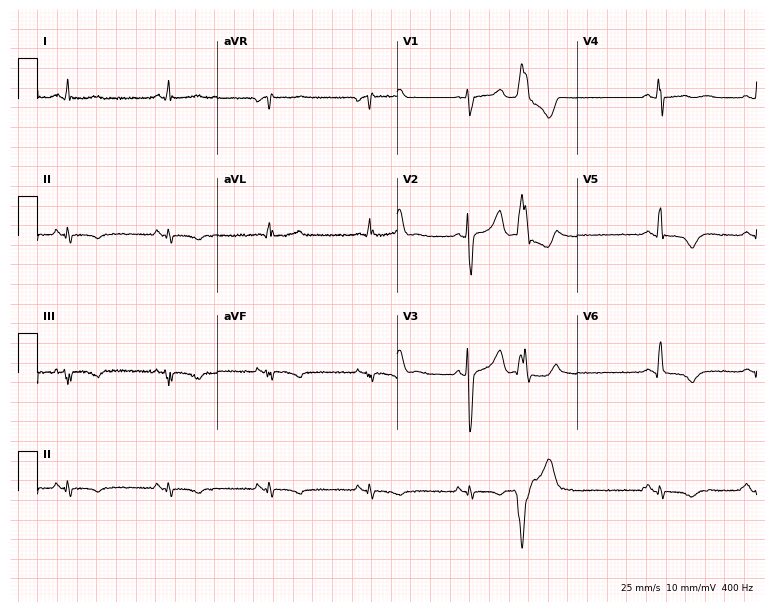
Standard 12-lead ECG recorded from a 60-year-old male patient. None of these six findings is recorded: first-degree AV block, right bundle branch block, left bundle branch block, sinus bradycardia, atrial fibrillation, sinus tachycardia. Only these six findings were labelled.